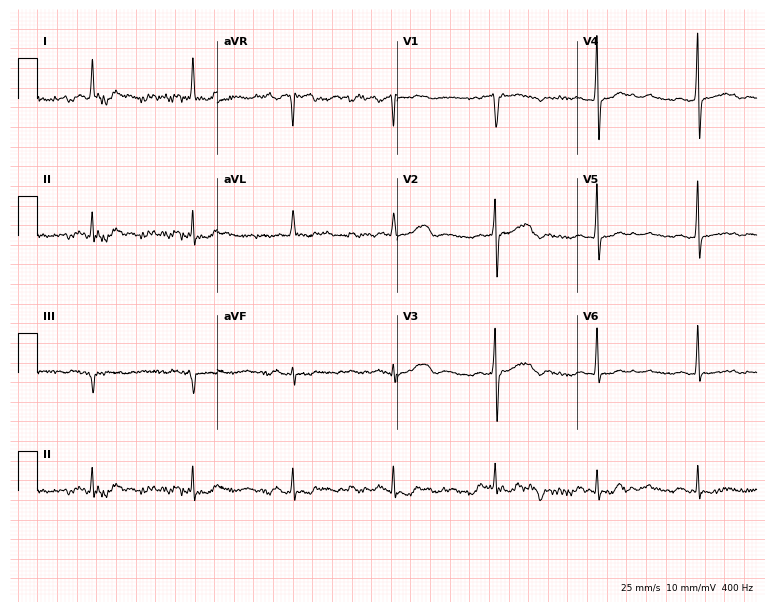
12-lead ECG (7.3-second recording at 400 Hz) from a male, 68 years old. Screened for six findings — first-degree AV block, right bundle branch block, left bundle branch block, sinus bradycardia, atrial fibrillation, sinus tachycardia — none is recorded. Findings outside these six are not listed.